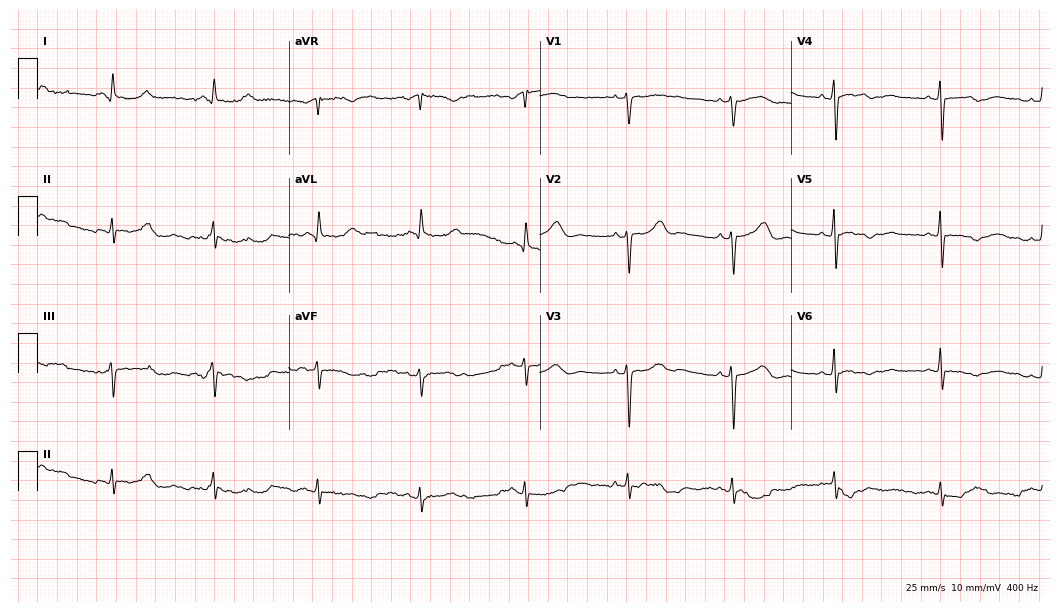
Standard 12-lead ECG recorded from a female patient, 64 years old (10.2-second recording at 400 Hz). None of these six findings is recorded: first-degree AV block, right bundle branch block (RBBB), left bundle branch block (LBBB), sinus bradycardia, atrial fibrillation (AF), sinus tachycardia. Findings outside these six are not listed.